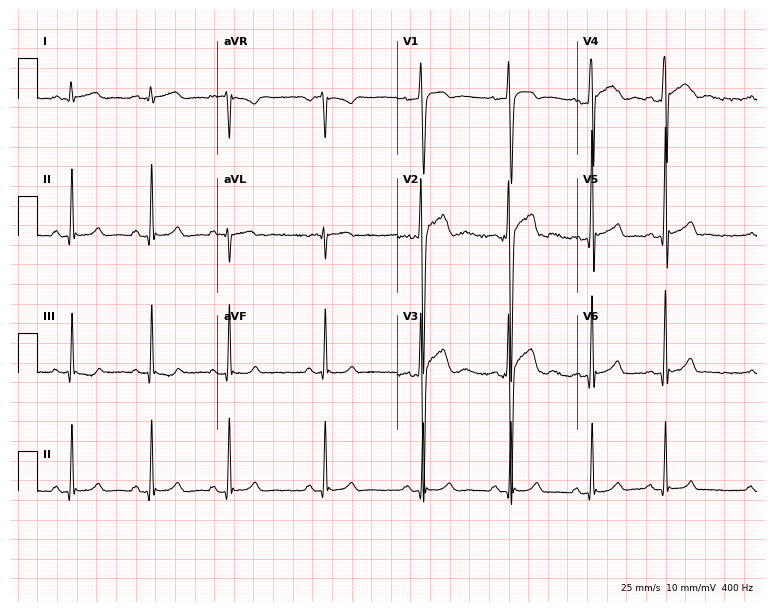
ECG (7.3-second recording at 400 Hz) — a 20-year-old male. Labelled as a normal ECG.